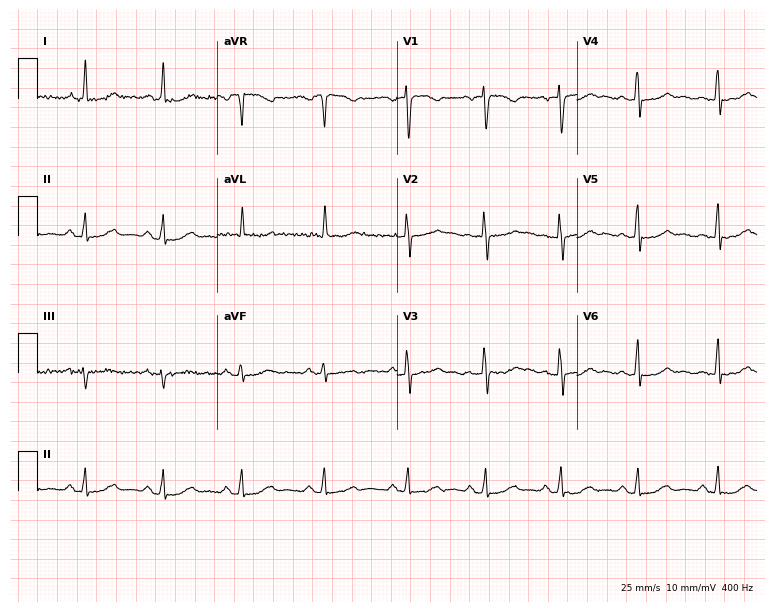
Electrocardiogram (7.3-second recording at 400 Hz), a 62-year-old female. Of the six screened findings (first-degree AV block, right bundle branch block, left bundle branch block, sinus bradycardia, atrial fibrillation, sinus tachycardia), none is recorded. Findings outside these six are not listed.